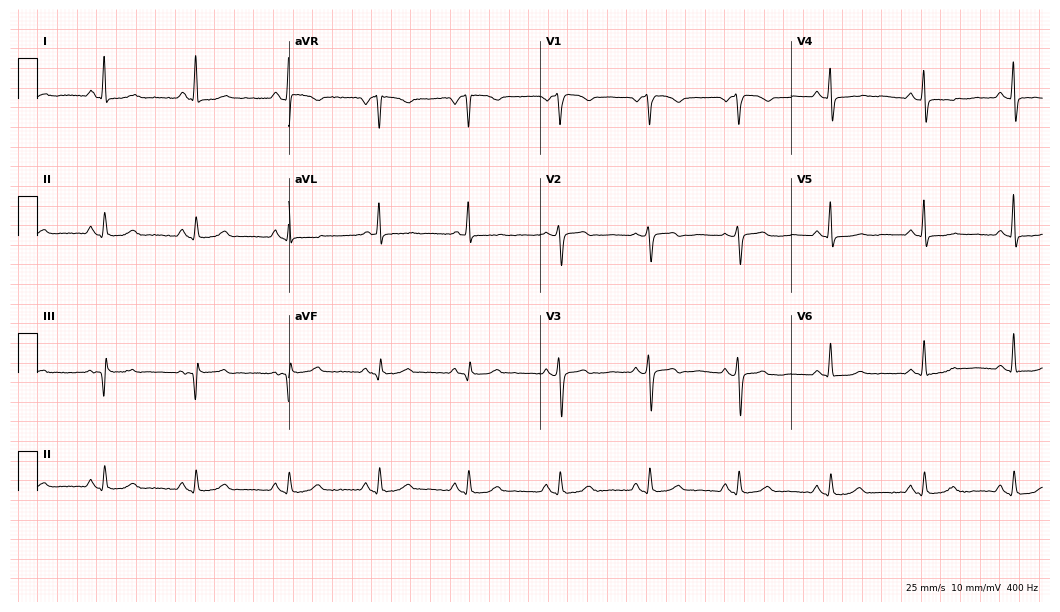
ECG (10.2-second recording at 400 Hz) — a 66-year-old female. Screened for six findings — first-degree AV block, right bundle branch block, left bundle branch block, sinus bradycardia, atrial fibrillation, sinus tachycardia — none is recorded.